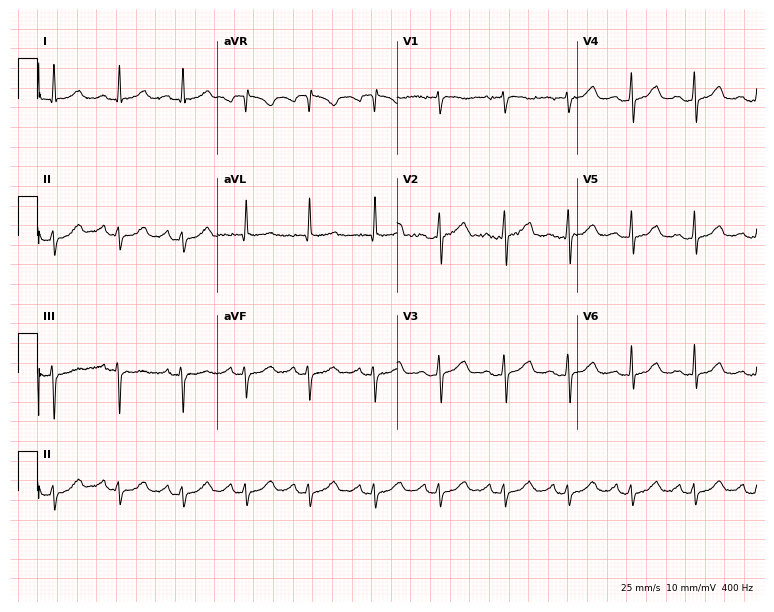
Resting 12-lead electrocardiogram (7.3-second recording at 400 Hz). Patient: a 65-year-old female. None of these six findings is recorded: first-degree AV block, right bundle branch block, left bundle branch block, sinus bradycardia, atrial fibrillation, sinus tachycardia. Other findings, if any, are not listed.